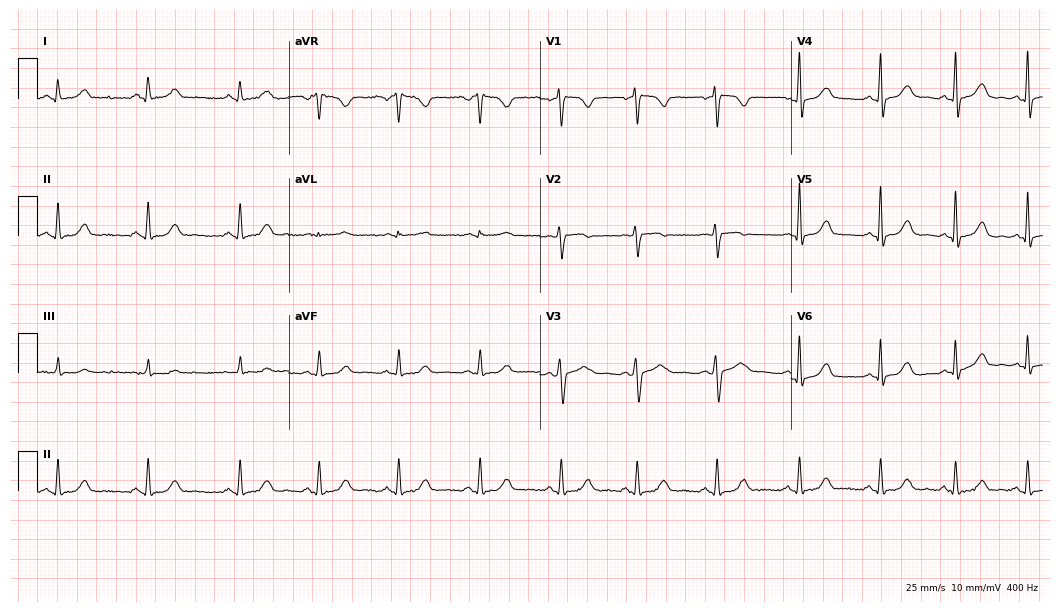
ECG — a female patient, 44 years old. Labelled as a normal ECG.